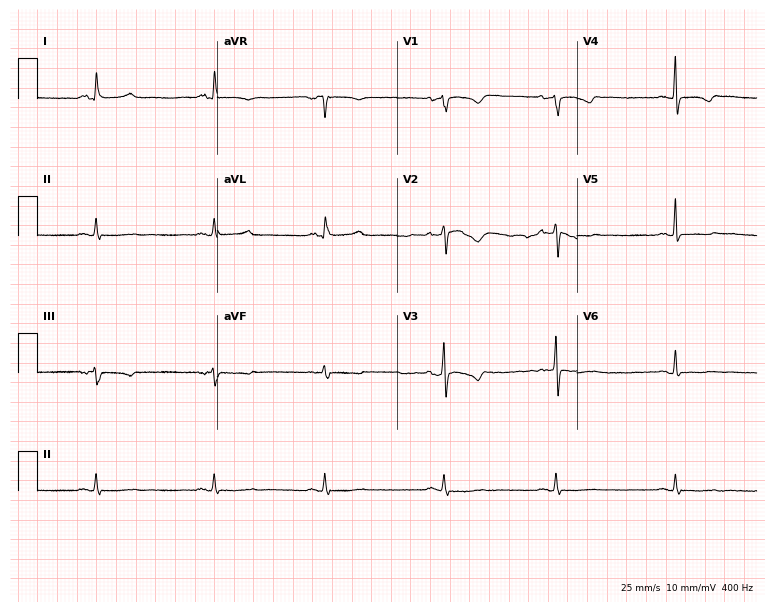
Standard 12-lead ECG recorded from a female patient, 62 years old (7.3-second recording at 400 Hz). Read as a normal ECG.